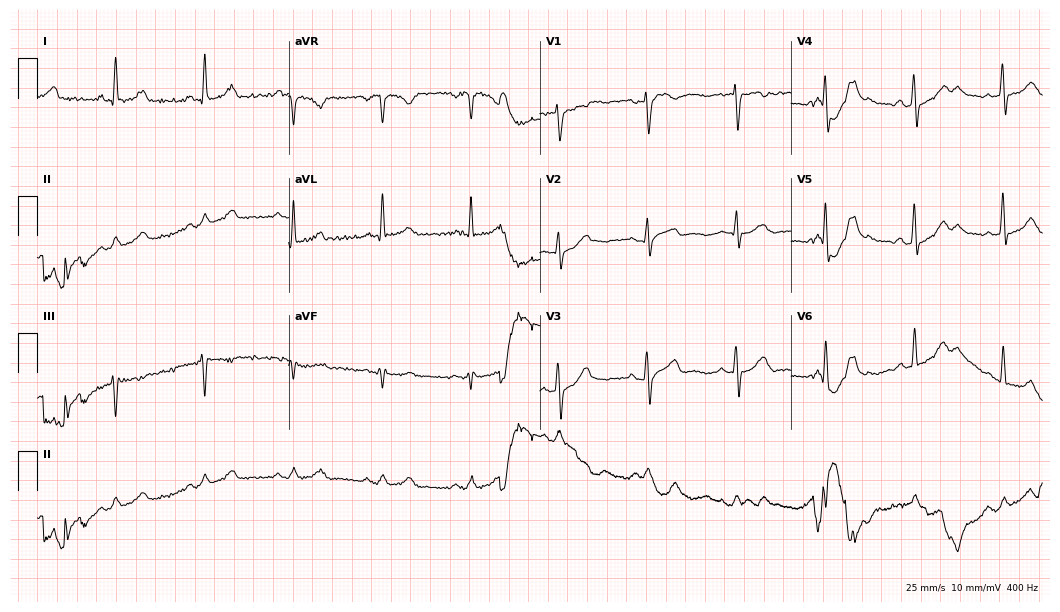
Standard 12-lead ECG recorded from a male patient, 74 years old (10.2-second recording at 400 Hz). None of these six findings is recorded: first-degree AV block, right bundle branch block (RBBB), left bundle branch block (LBBB), sinus bradycardia, atrial fibrillation (AF), sinus tachycardia. Other findings, if any, are not listed.